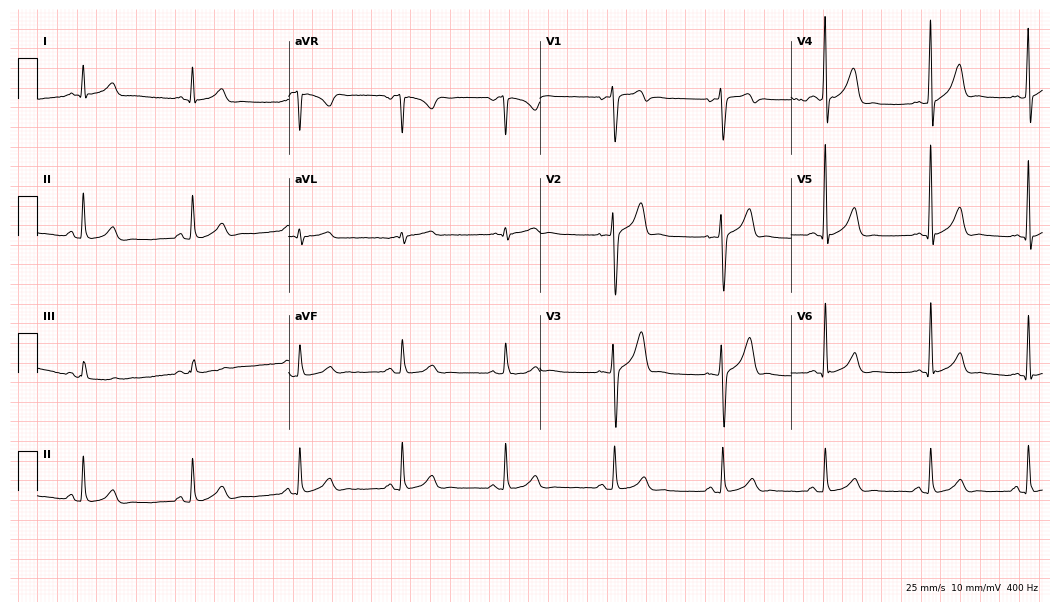
12-lead ECG from a 42-year-old man. Labelled as a normal ECG.